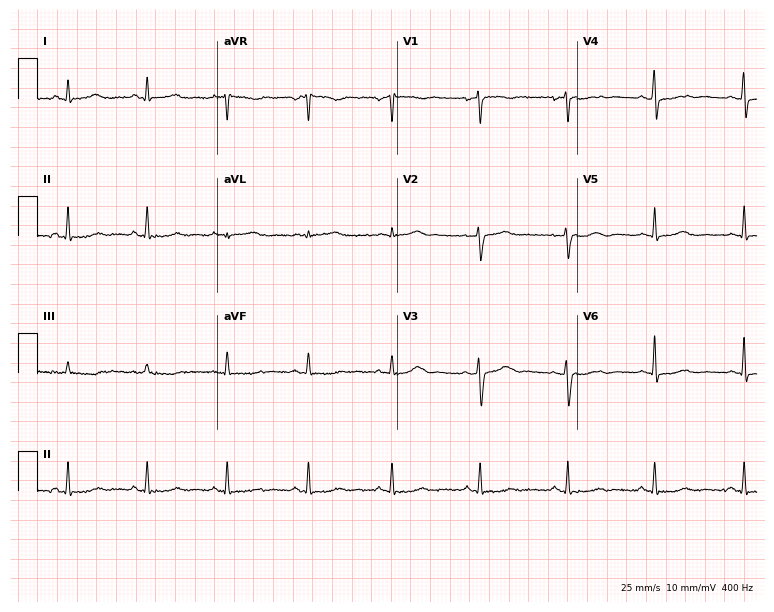
Standard 12-lead ECG recorded from a female patient, 47 years old (7.3-second recording at 400 Hz). None of these six findings is recorded: first-degree AV block, right bundle branch block, left bundle branch block, sinus bradycardia, atrial fibrillation, sinus tachycardia. Only these six findings were labelled.